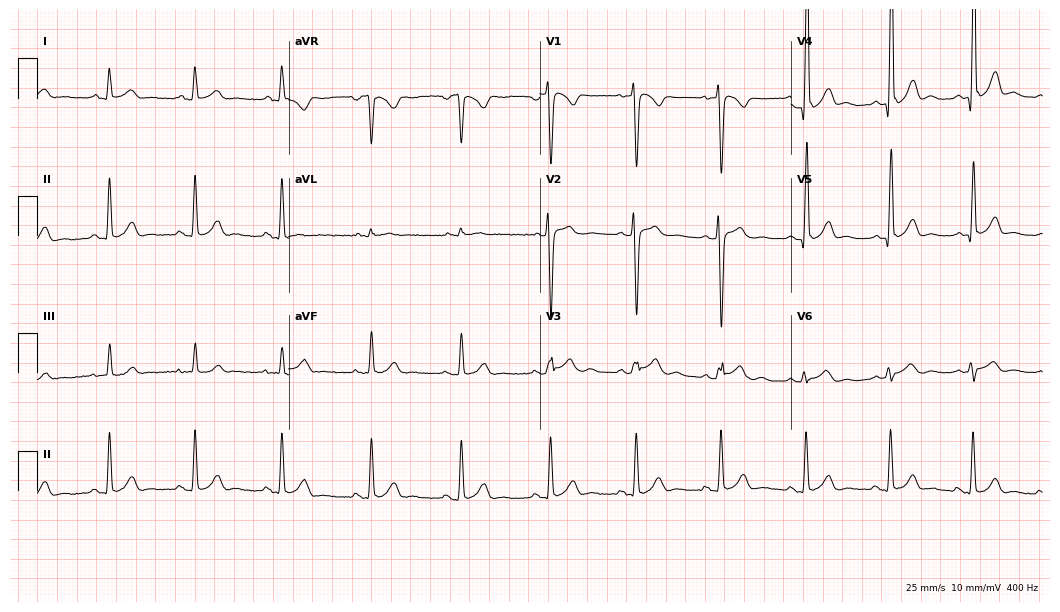
12-lead ECG from a 21-year-old male patient. Recorded interpretation: within normal limits.